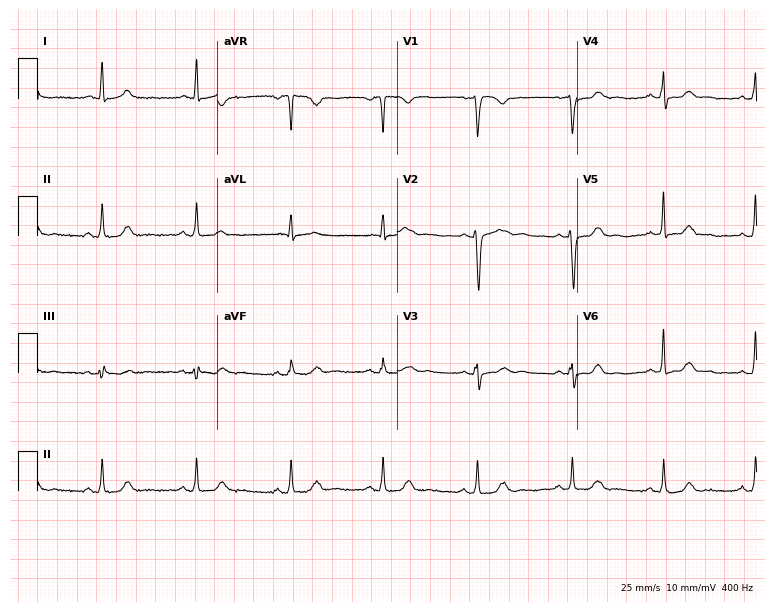
ECG (7.3-second recording at 400 Hz) — a 45-year-old female. Screened for six findings — first-degree AV block, right bundle branch block, left bundle branch block, sinus bradycardia, atrial fibrillation, sinus tachycardia — none is recorded.